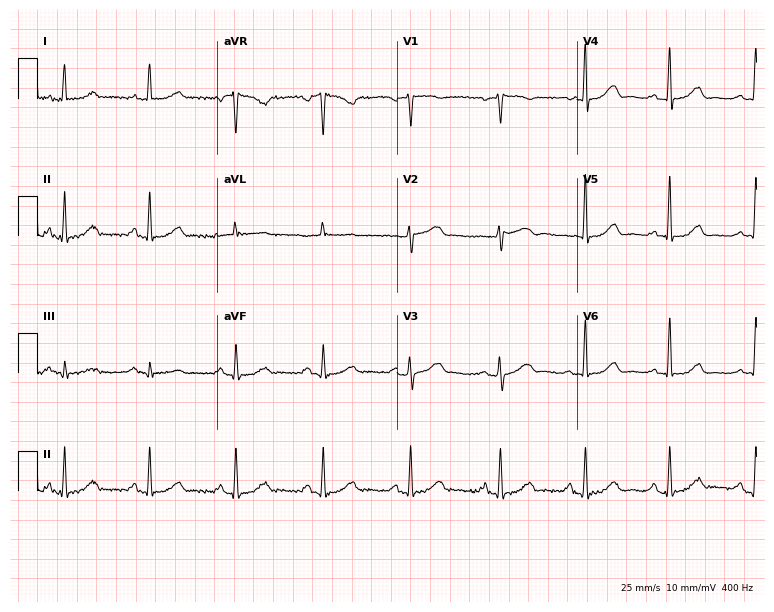
ECG — a 59-year-old female. Labelled as a normal ECG.